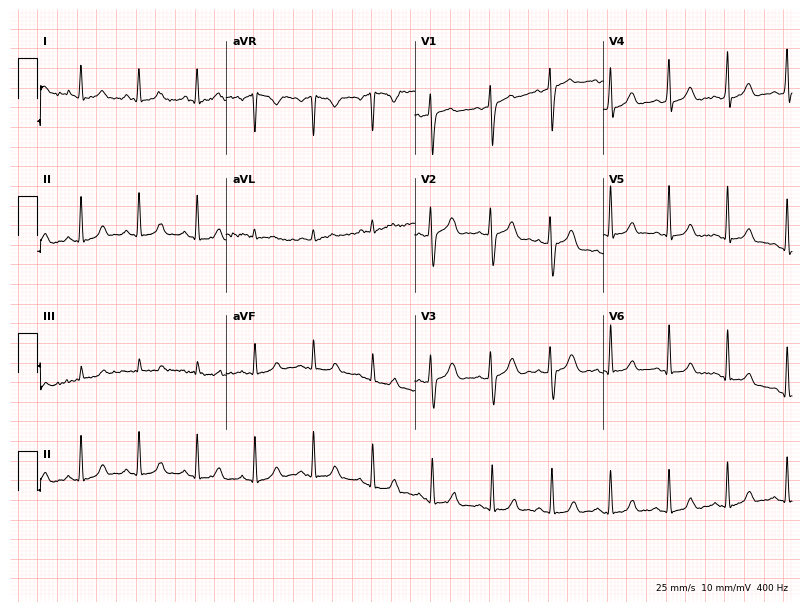
Resting 12-lead electrocardiogram. Patient: a 21-year-old female. None of these six findings is recorded: first-degree AV block, right bundle branch block, left bundle branch block, sinus bradycardia, atrial fibrillation, sinus tachycardia.